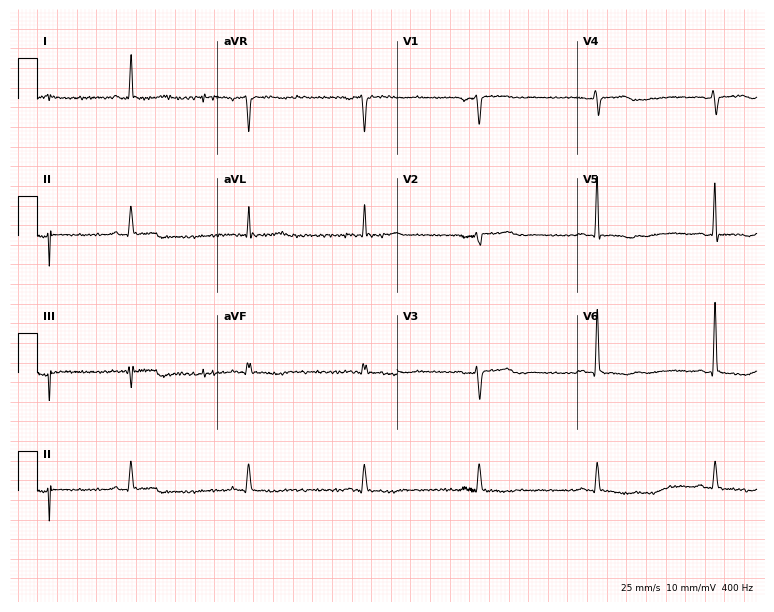
ECG — a 61-year-old female patient. Screened for six findings — first-degree AV block, right bundle branch block (RBBB), left bundle branch block (LBBB), sinus bradycardia, atrial fibrillation (AF), sinus tachycardia — none is recorded. Other findings, if any, are not listed.